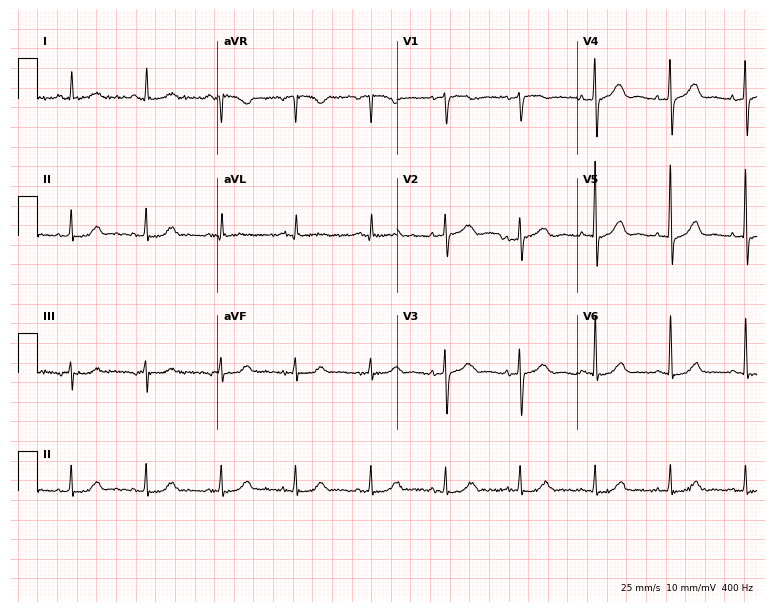
12-lead ECG from a woman, 76 years old. Labelled as a normal ECG.